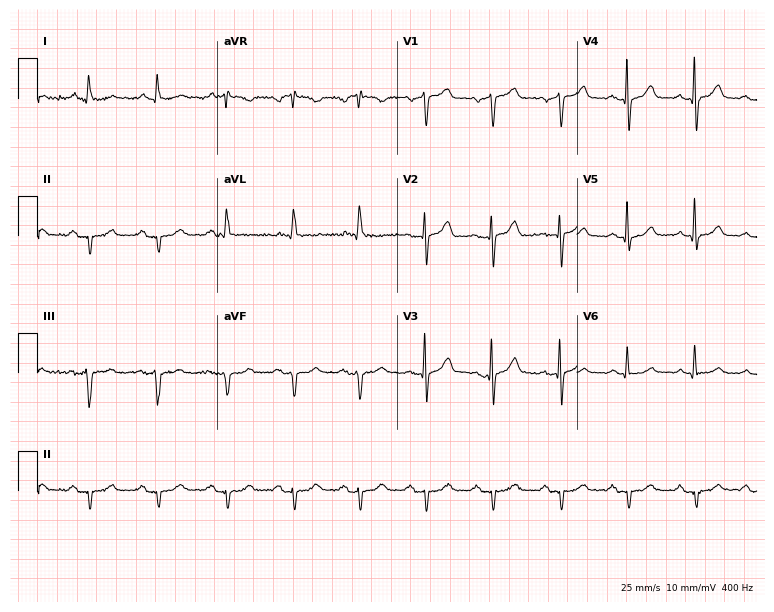
12-lead ECG from a male, 69 years old. Screened for six findings — first-degree AV block, right bundle branch block, left bundle branch block, sinus bradycardia, atrial fibrillation, sinus tachycardia — none is recorded.